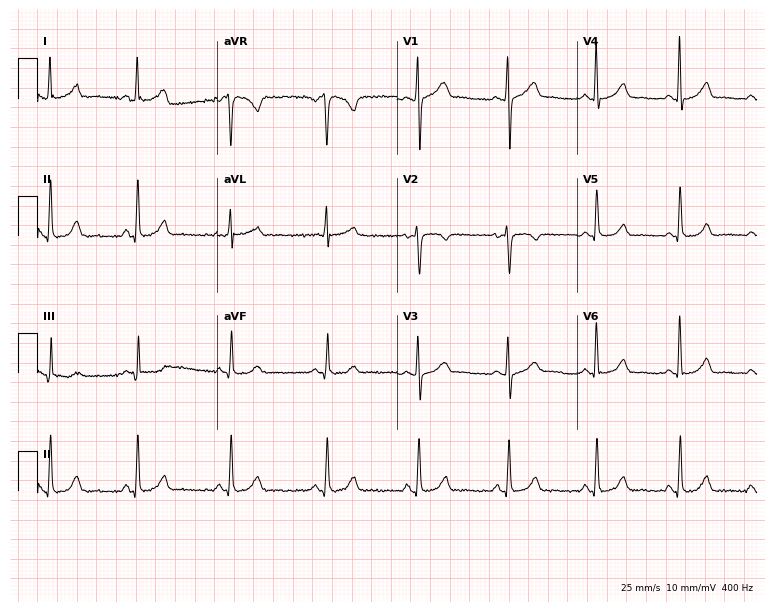
ECG (7.3-second recording at 400 Hz) — a 27-year-old female patient. Labelled as a normal ECG.